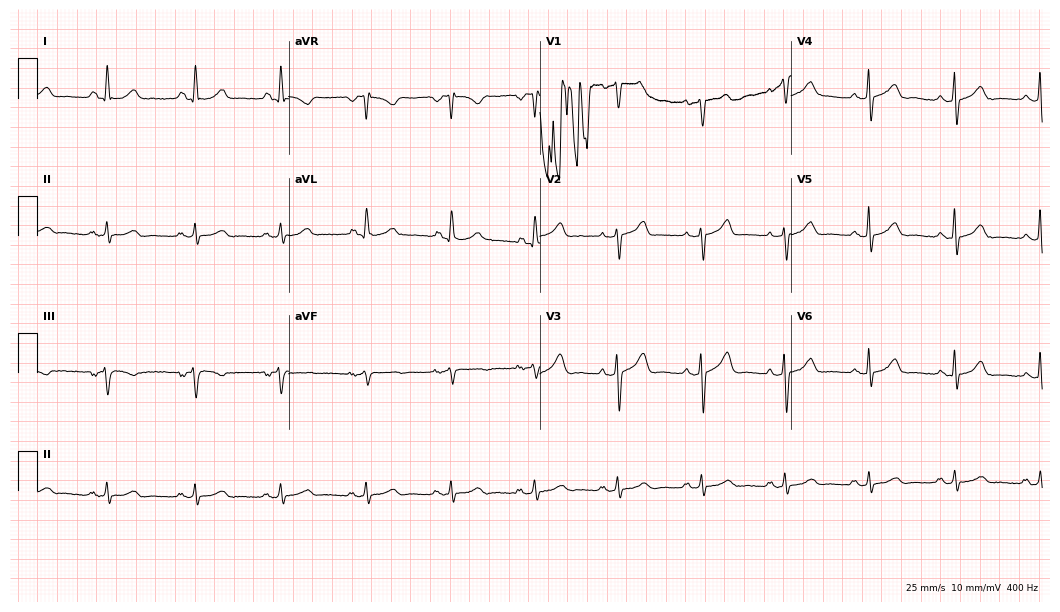
Resting 12-lead electrocardiogram (10.2-second recording at 400 Hz). Patient: a 59-year-old female. Read as a normal ECG.